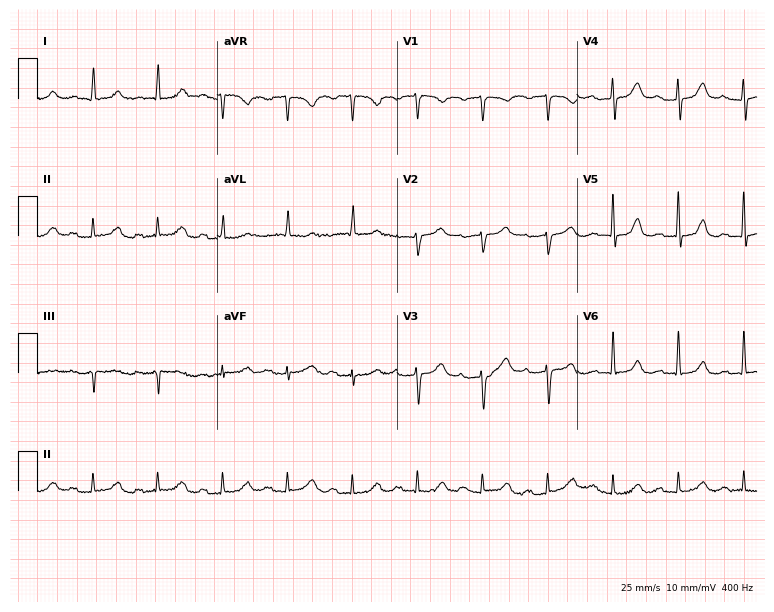
ECG (7.3-second recording at 400 Hz) — an 84-year-old female patient. Screened for six findings — first-degree AV block, right bundle branch block (RBBB), left bundle branch block (LBBB), sinus bradycardia, atrial fibrillation (AF), sinus tachycardia — none is recorded. Other findings, if any, are not listed.